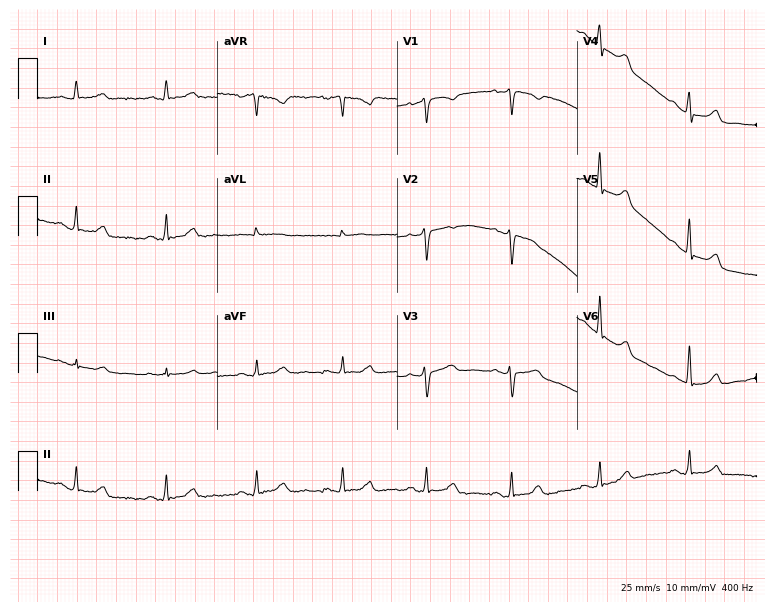
Resting 12-lead electrocardiogram (7.3-second recording at 400 Hz). Patient: a female, 55 years old. None of these six findings is recorded: first-degree AV block, right bundle branch block (RBBB), left bundle branch block (LBBB), sinus bradycardia, atrial fibrillation (AF), sinus tachycardia. Other findings, if any, are not listed.